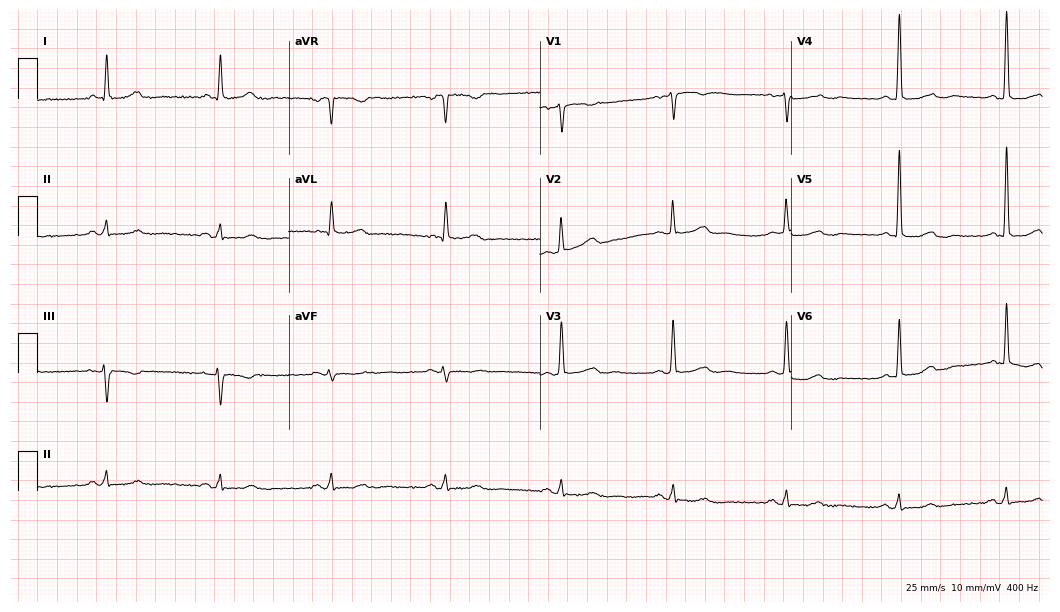
12-lead ECG from a female, 74 years old (10.2-second recording at 400 Hz). Recorded interpretation: within normal limits.